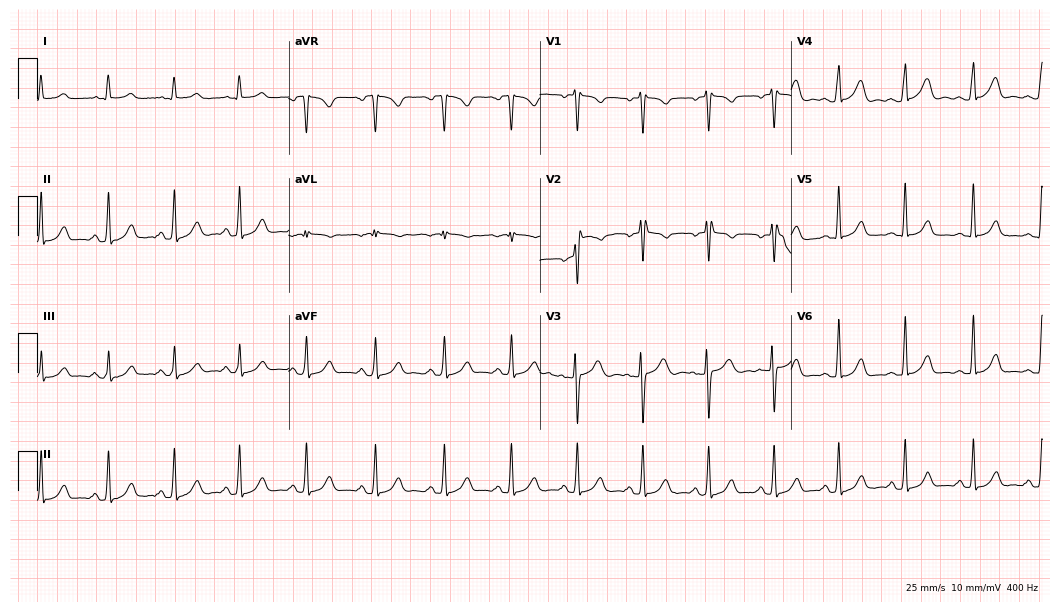
Electrocardiogram (10.2-second recording at 400 Hz), a woman, 22 years old. Of the six screened findings (first-degree AV block, right bundle branch block (RBBB), left bundle branch block (LBBB), sinus bradycardia, atrial fibrillation (AF), sinus tachycardia), none is recorded.